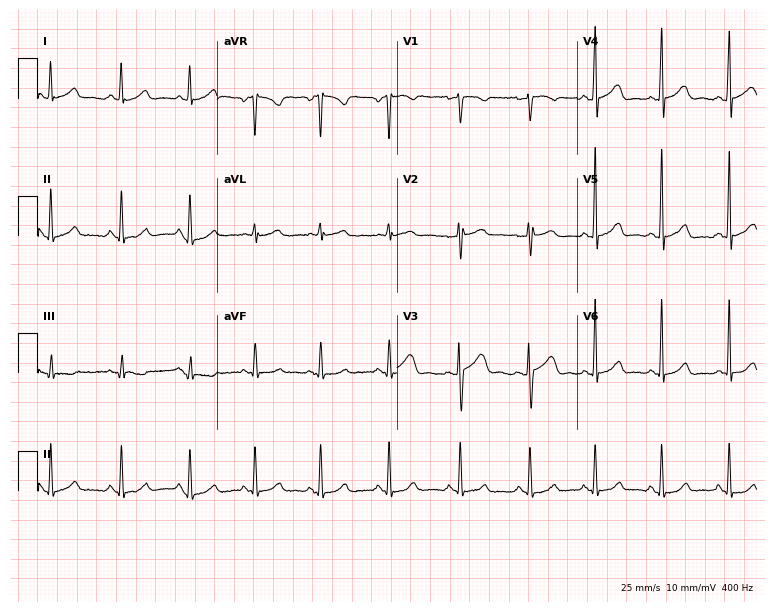
Electrocardiogram (7.3-second recording at 400 Hz), a female, 33 years old. Overall reading on record: normal ECG.